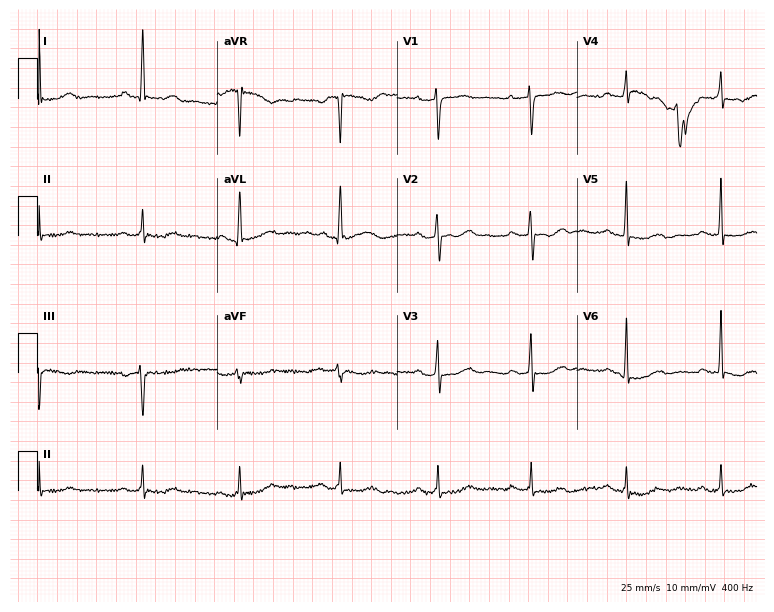
12-lead ECG (7.3-second recording at 400 Hz) from a female, 54 years old. Screened for six findings — first-degree AV block, right bundle branch block, left bundle branch block, sinus bradycardia, atrial fibrillation, sinus tachycardia — none is recorded.